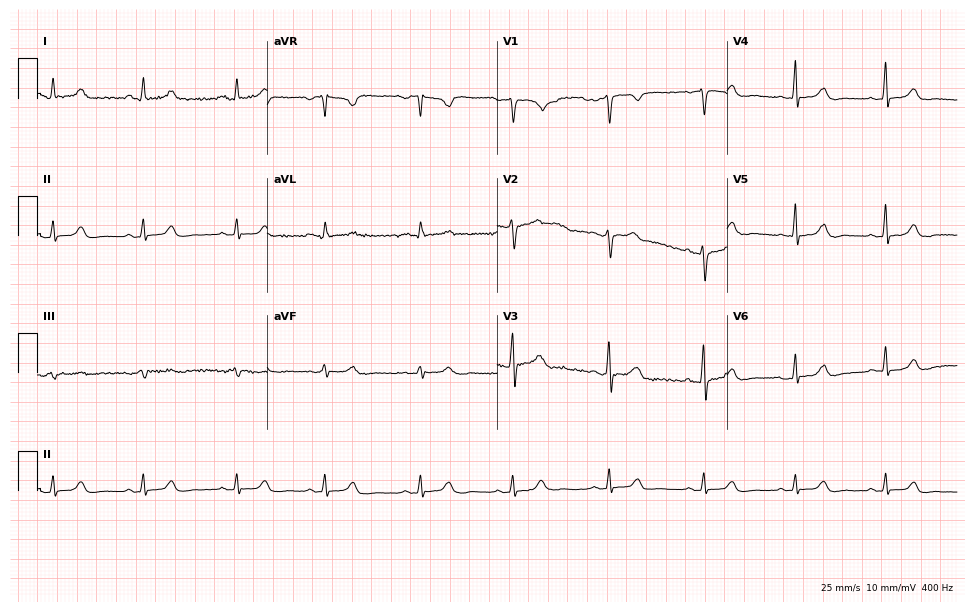
Resting 12-lead electrocardiogram. Patient: a 37-year-old female. Read as a normal ECG.